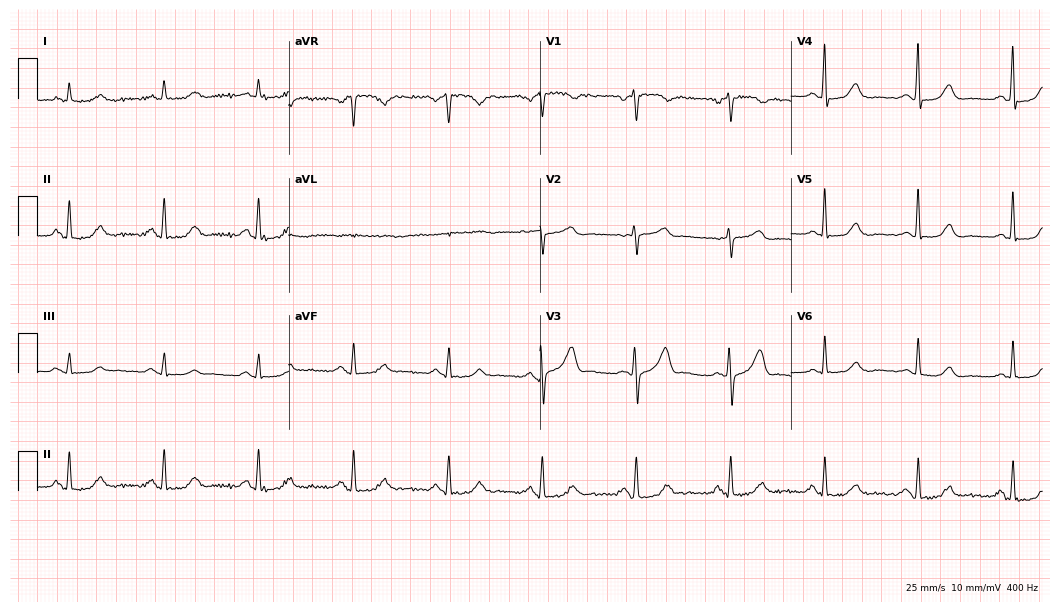
ECG — a female patient, 61 years old. Screened for six findings — first-degree AV block, right bundle branch block, left bundle branch block, sinus bradycardia, atrial fibrillation, sinus tachycardia — none is recorded. Only these six findings were labelled.